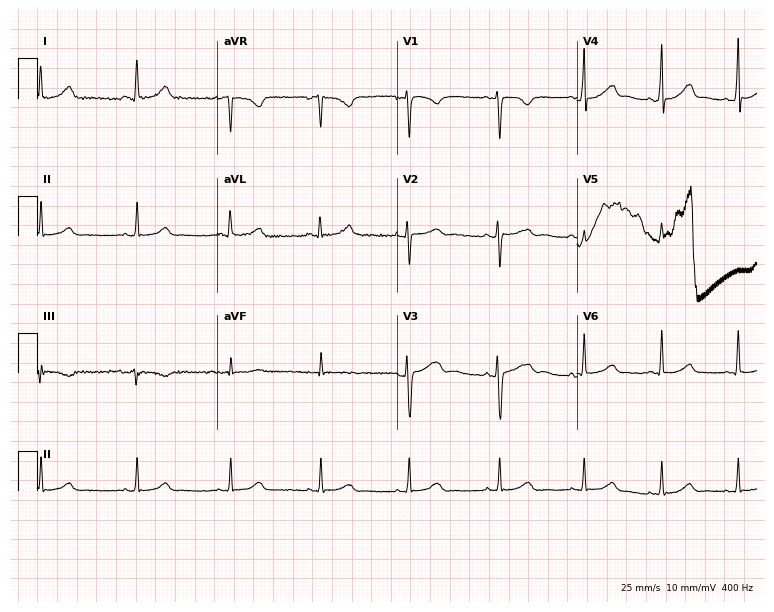
Electrocardiogram, a 30-year-old woman. Overall reading on record: normal ECG.